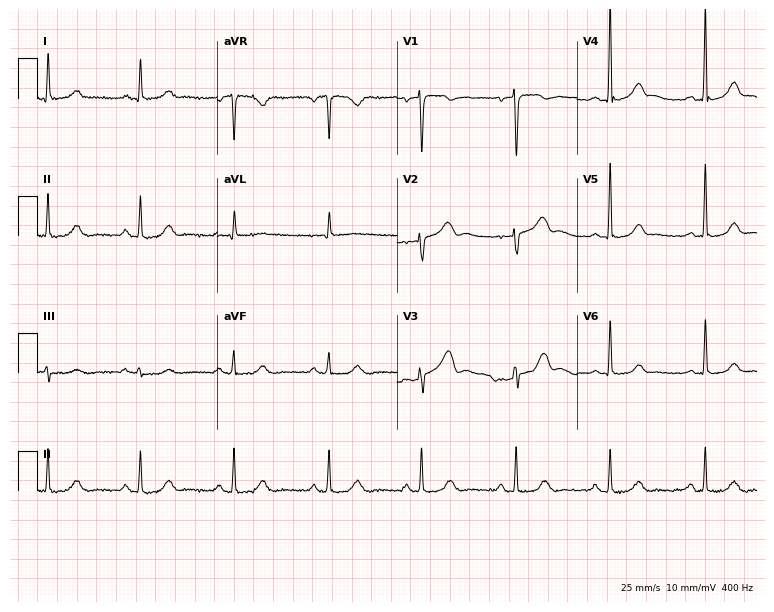
12-lead ECG (7.3-second recording at 400 Hz) from a female, 49 years old. Labelled as a normal ECG.